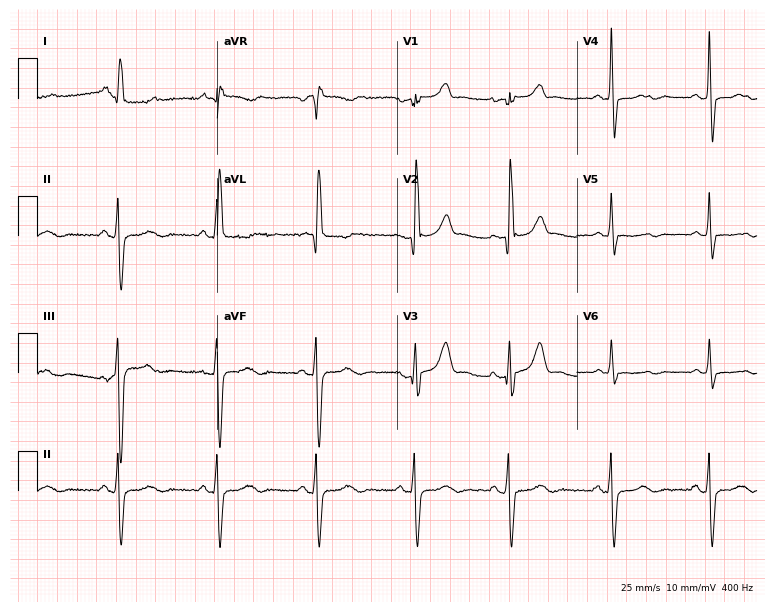
12-lead ECG from a female, 79 years old. No first-degree AV block, right bundle branch block (RBBB), left bundle branch block (LBBB), sinus bradycardia, atrial fibrillation (AF) or sinus tachycardia recorded for this tracing.